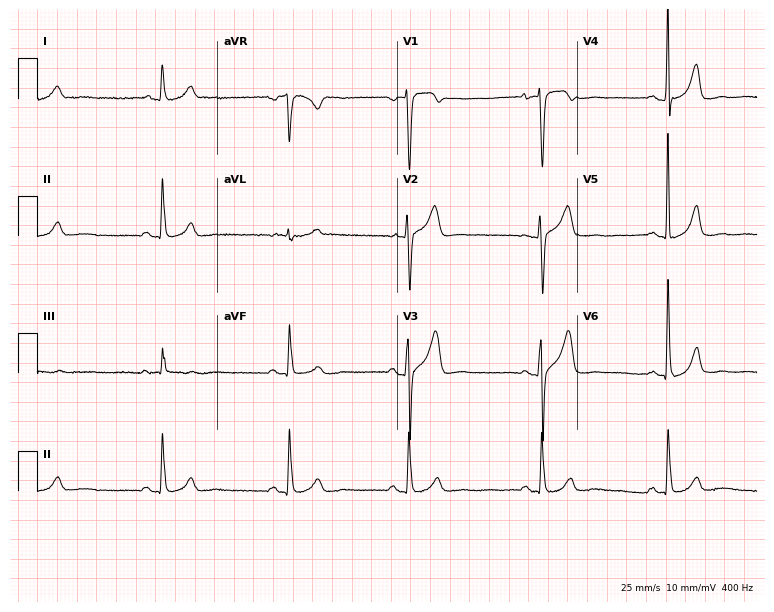
12-lead ECG from a 60-year-old man. Findings include sinus bradycardia (a sinus rate of 50 beats per minute or less).